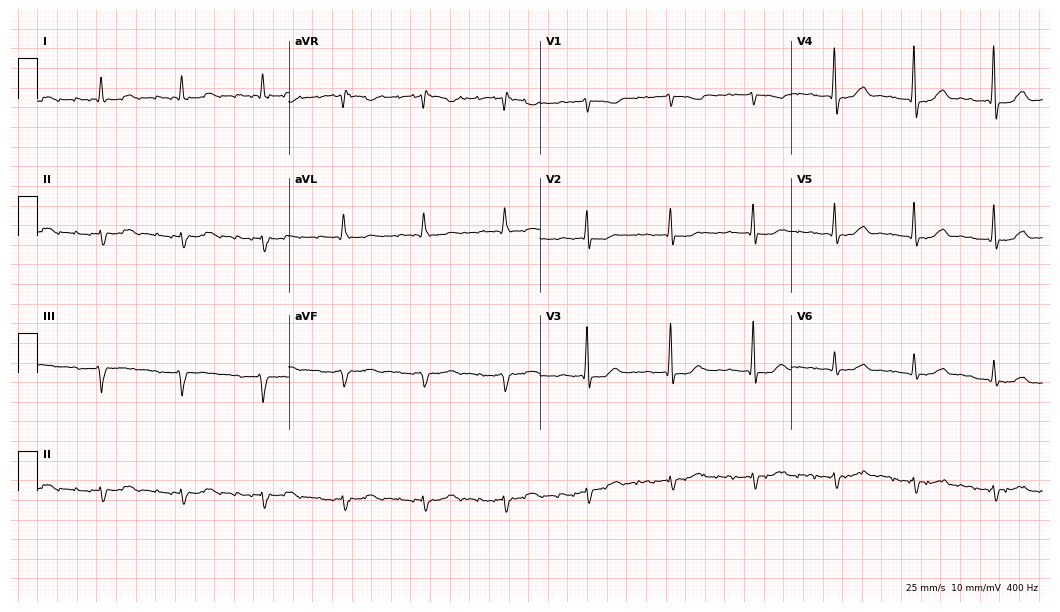
Standard 12-lead ECG recorded from a woman, 83 years old. None of these six findings is recorded: first-degree AV block, right bundle branch block, left bundle branch block, sinus bradycardia, atrial fibrillation, sinus tachycardia.